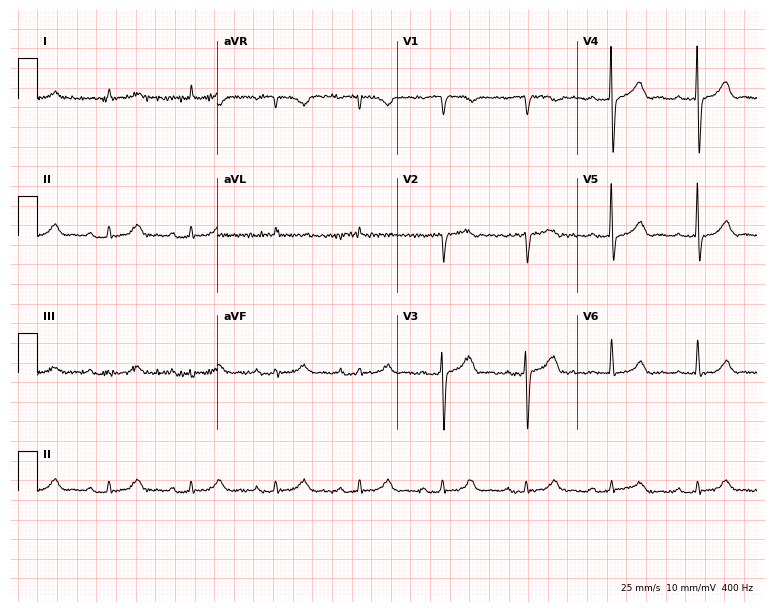
Resting 12-lead electrocardiogram. Patient: a male, 85 years old. None of these six findings is recorded: first-degree AV block, right bundle branch block (RBBB), left bundle branch block (LBBB), sinus bradycardia, atrial fibrillation (AF), sinus tachycardia. Other findings, if any, are not listed.